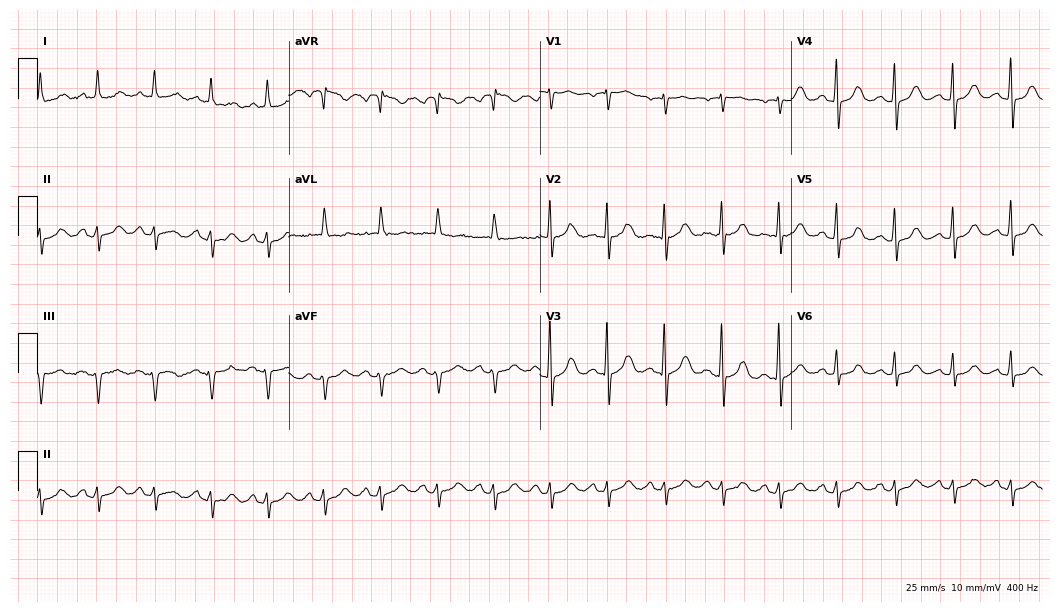
Standard 12-lead ECG recorded from a female patient, 54 years old. The tracing shows sinus tachycardia (a sinus rate of 100 beats per minute or more).